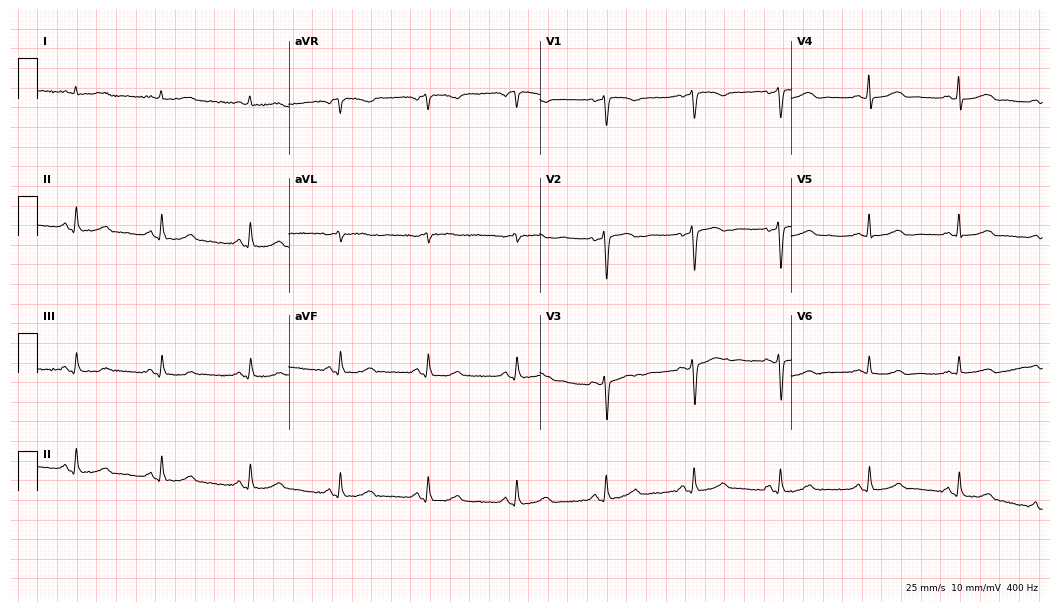
Resting 12-lead electrocardiogram (10.2-second recording at 400 Hz). Patient: a 44-year-old woman. None of these six findings is recorded: first-degree AV block, right bundle branch block, left bundle branch block, sinus bradycardia, atrial fibrillation, sinus tachycardia. Other findings, if any, are not listed.